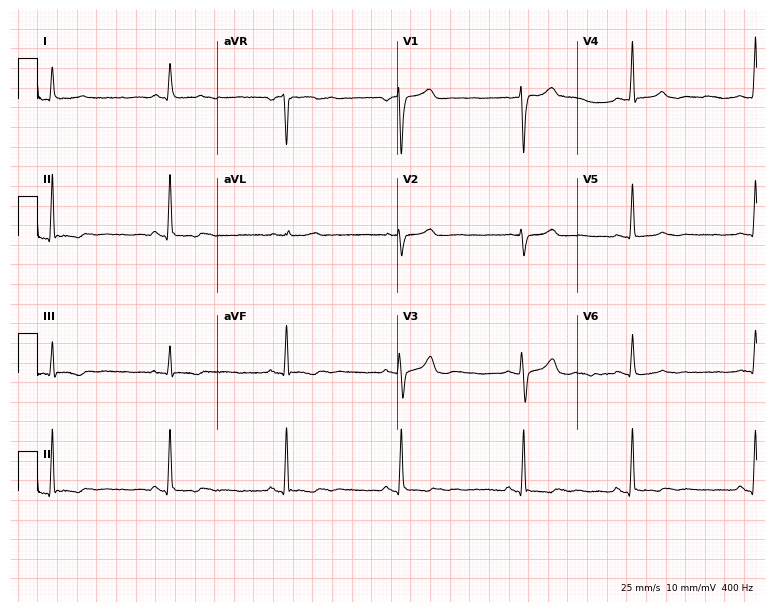
Standard 12-lead ECG recorded from a male, 63 years old (7.3-second recording at 400 Hz). None of these six findings is recorded: first-degree AV block, right bundle branch block (RBBB), left bundle branch block (LBBB), sinus bradycardia, atrial fibrillation (AF), sinus tachycardia.